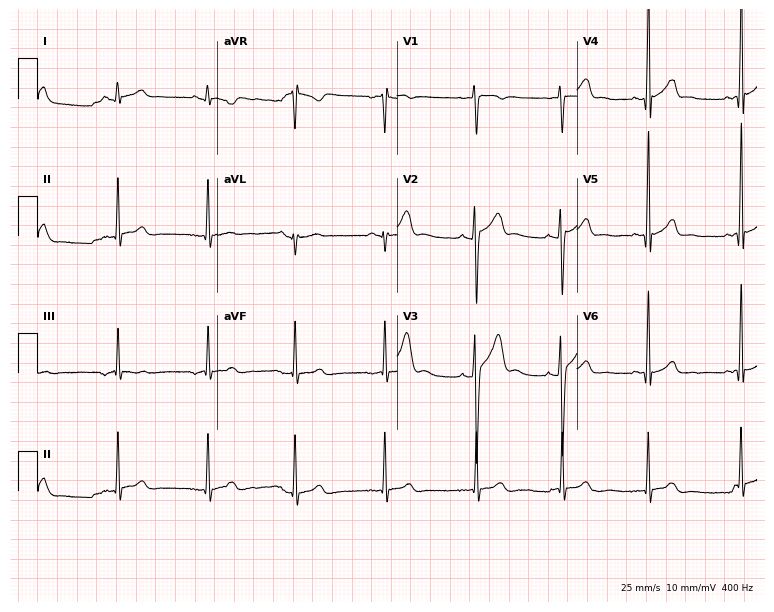
12-lead ECG from a male patient, 22 years old. Recorded interpretation: within normal limits.